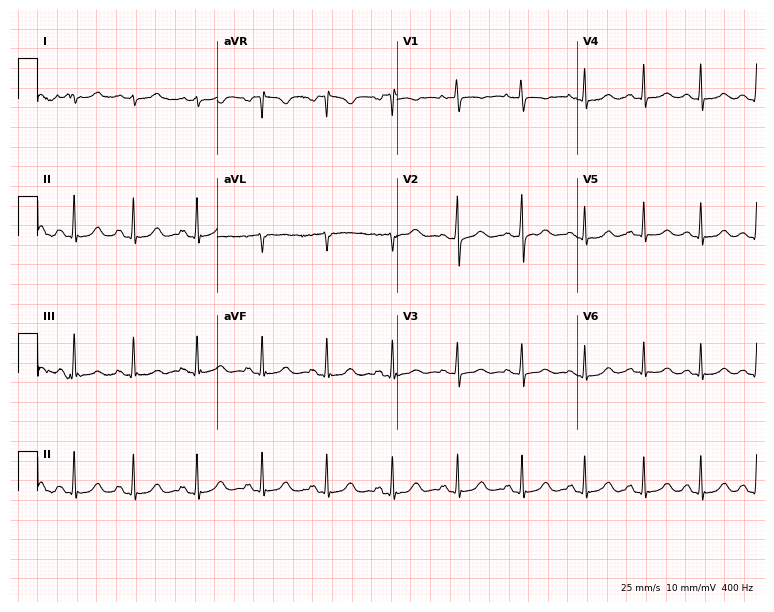
12-lead ECG from a female patient, 18 years old (7.3-second recording at 400 Hz). Recorded interpretation: within normal limits.